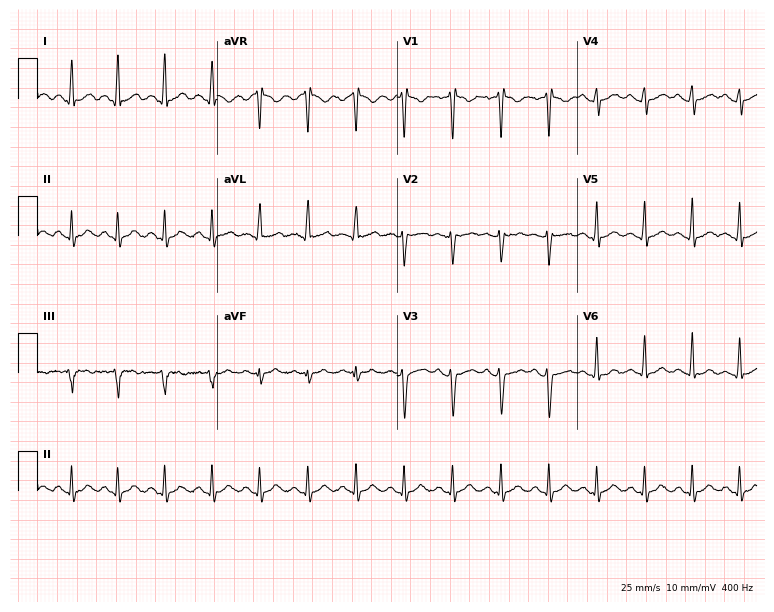
Resting 12-lead electrocardiogram (7.3-second recording at 400 Hz). Patient: a 20-year-old female. The tracing shows sinus tachycardia (a sinus rate of 100 beats per minute or more).